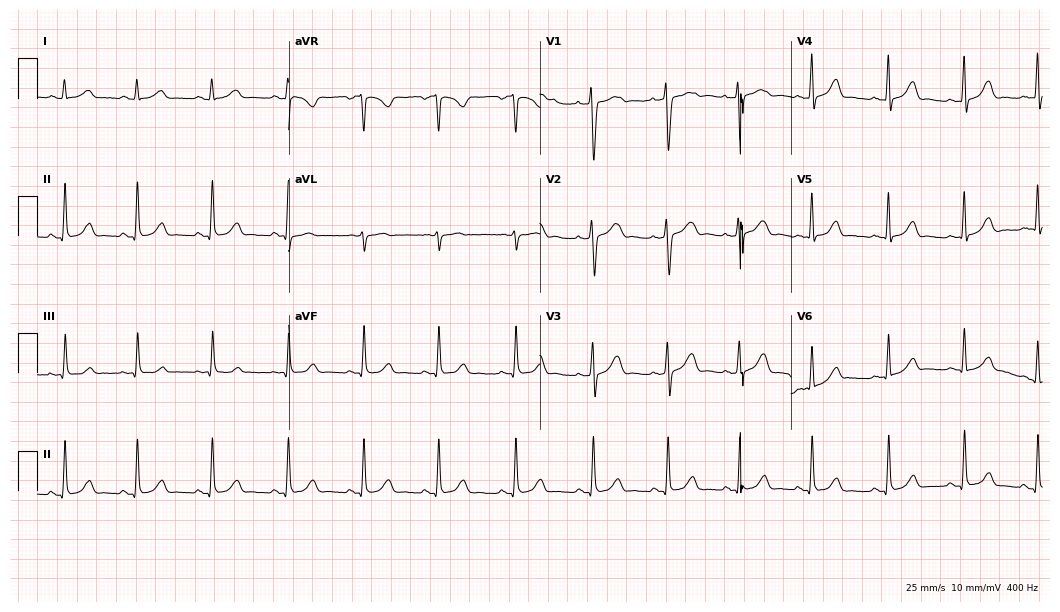
Resting 12-lead electrocardiogram. Patient: a 37-year-old woman. Read as a normal ECG.